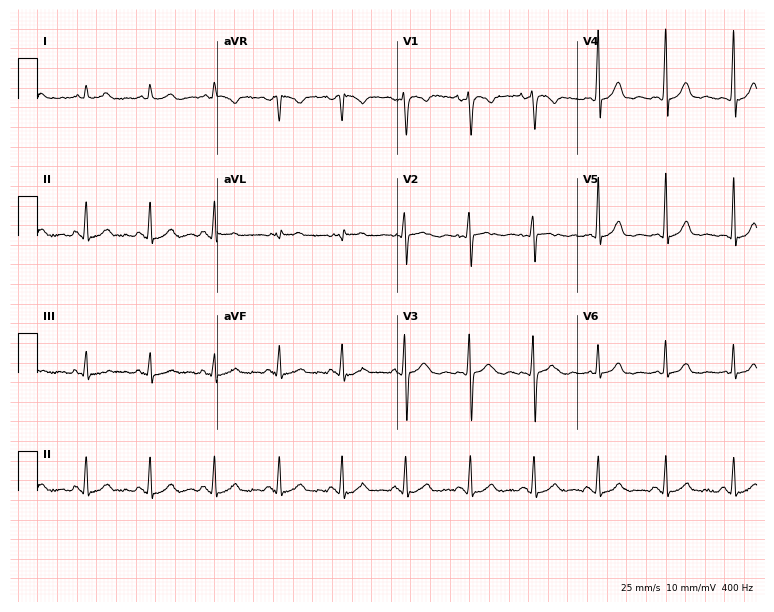
12-lead ECG (7.3-second recording at 400 Hz) from a 31-year-old female patient. Screened for six findings — first-degree AV block, right bundle branch block (RBBB), left bundle branch block (LBBB), sinus bradycardia, atrial fibrillation (AF), sinus tachycardia — none is recorded.